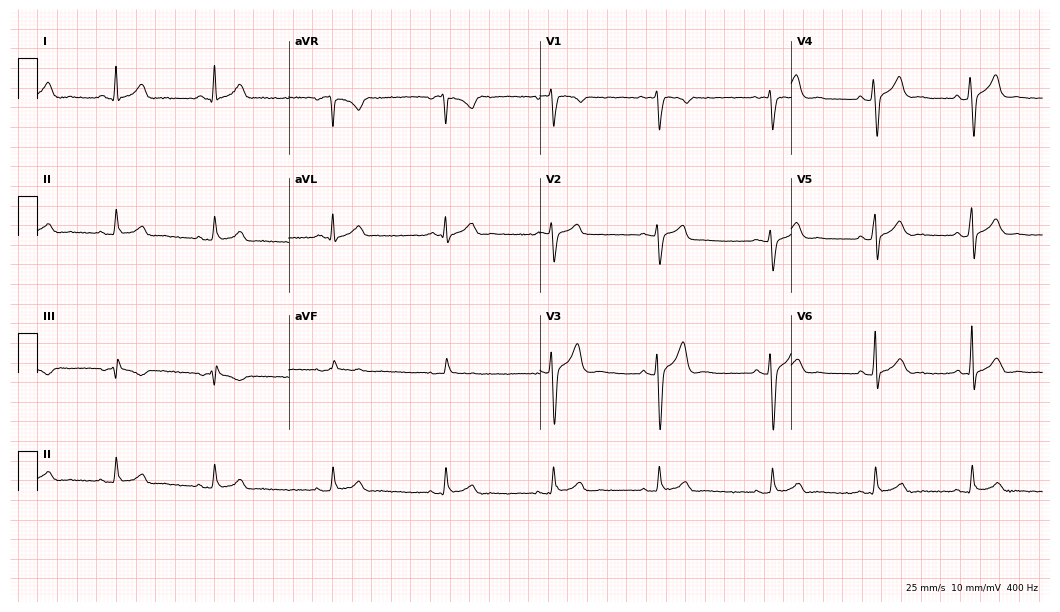
12-lead ECG (10.2-second recording at 400 Hz) from a male, 30 years old. Screened for six findings — first-degree AV block, right bundle branch block, left bundle branch block, sinus bradycardia, atrial fibrillation, sinus tachycardia — none is recorded. Only these six findings were labelled.